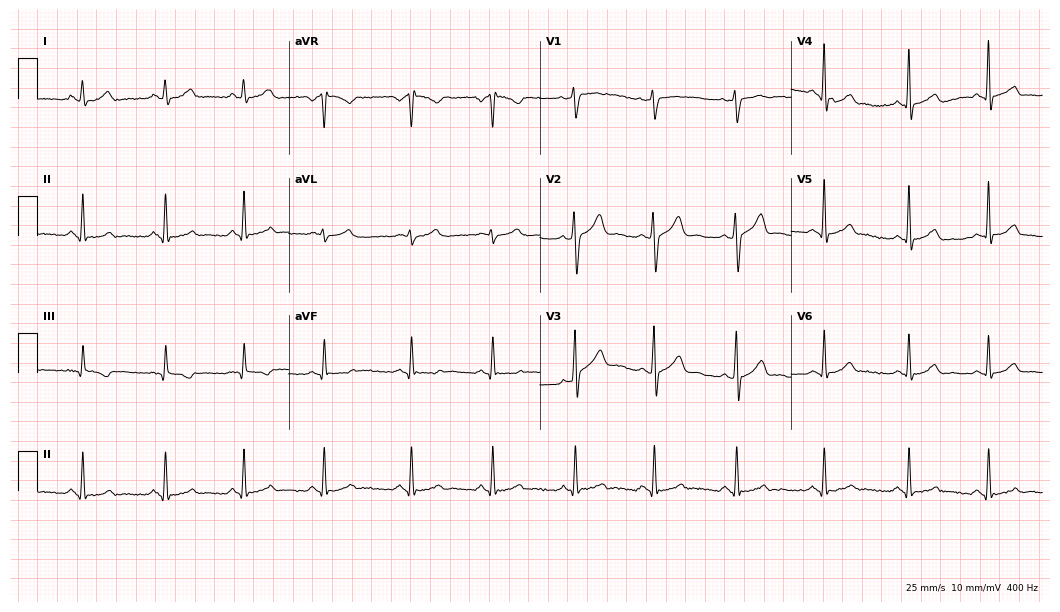
Standard 12-lead ECG recorded from a 30-year-old male (10.2-second recording at 400 Hz). Read as a normal ECG.